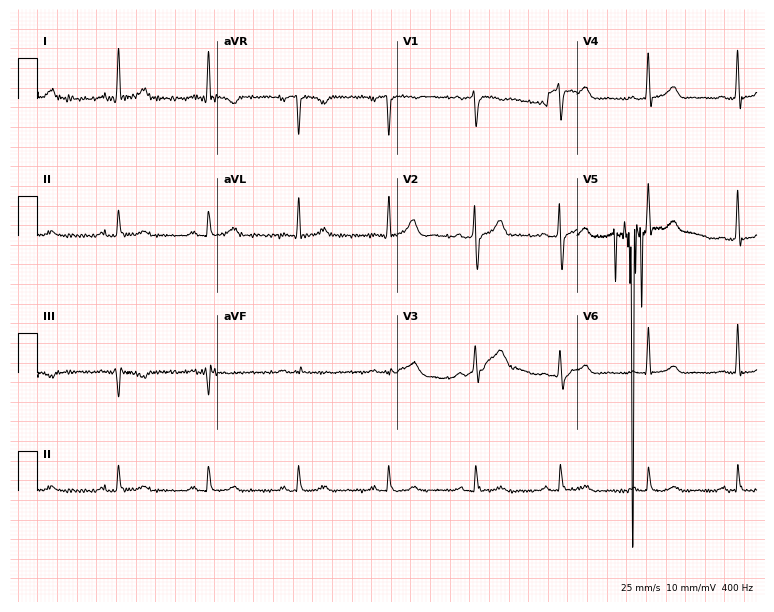
ECG — a 51-year-old male patient. Labelled as a normal ECG.